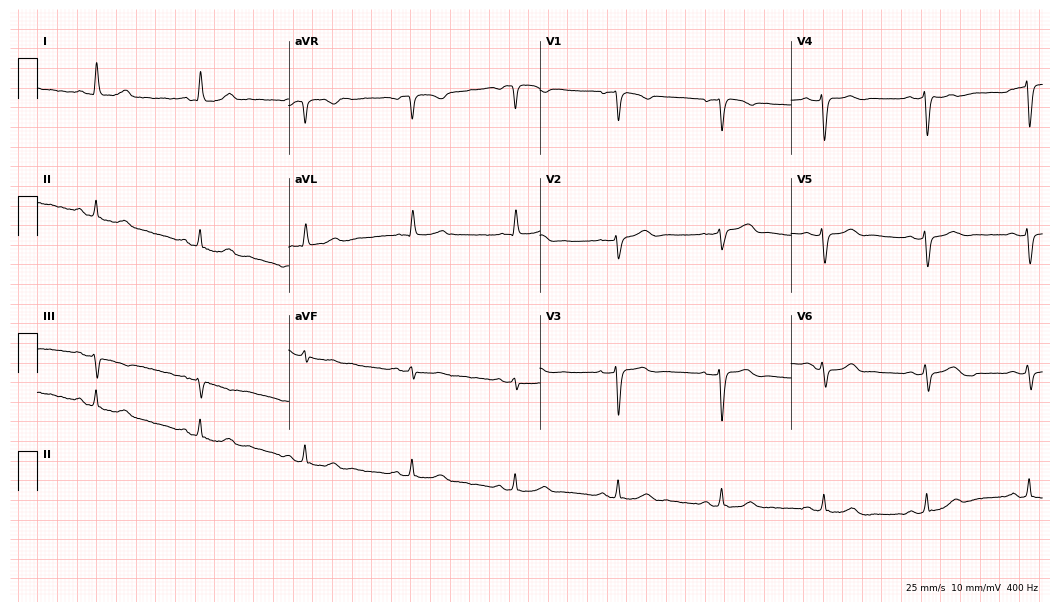
Electrocardiogram (10.2-second recording at 400 Hz), a 65-year-old woman. Of the six screened findings (first-degree AV block, right bundle branch block, left bundle branch block, sinus bradycardia, atrial fibrillation, sinus tachycardia), none is recorded. Findings outside these six are not listed.